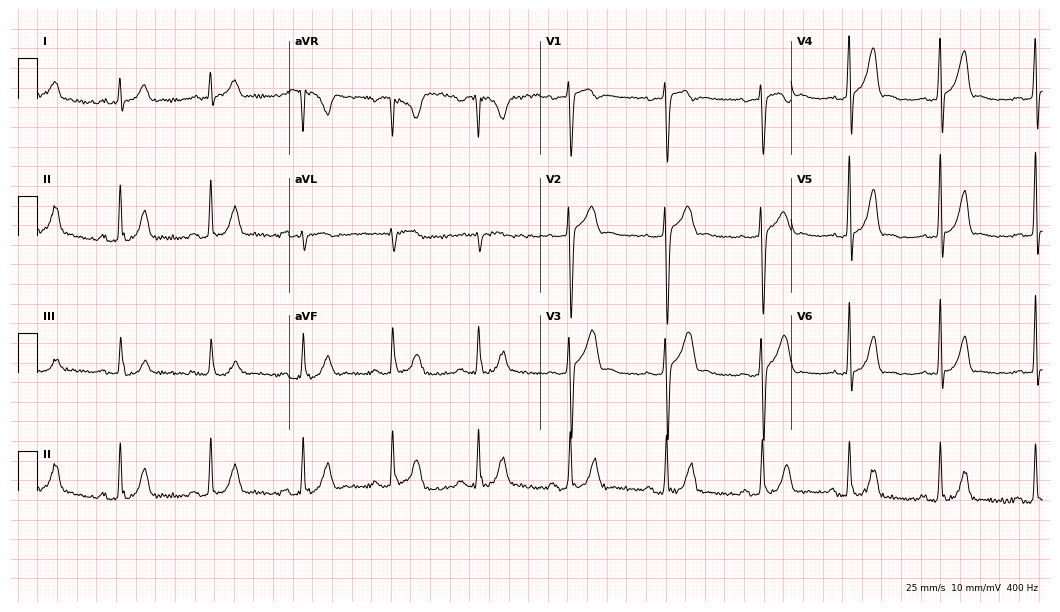
12-lead ECG (10.2-second recording at 400 Hz) from a man, 27 years old. Screened for six findings — first-degree AV block, right bundle branch block, left bundle branch block, sinus bradycardia, atrial fibrillation, sinus tachycardia — none is recorded. Findings outside these six are not listed.